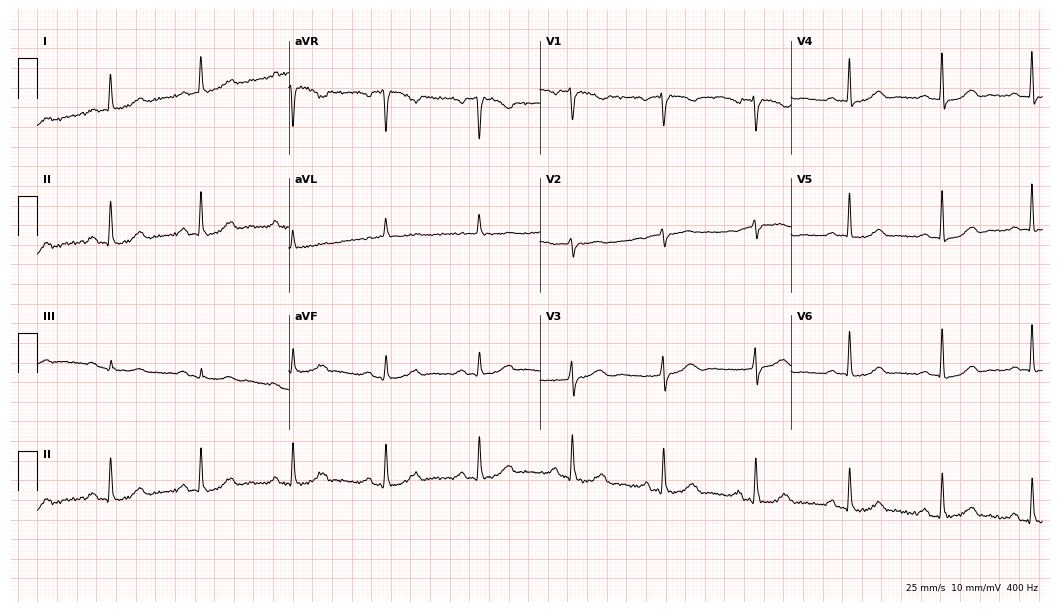
Electrocardiogram, a 65-year-old woman. Of the six screened findings (first-degree AV block, right bundle branch block, left bundle branch block, sinus bradycardia, atrial fibrillation, sinus tachycardia), none is recorded. Other findings, if any, are not listed.